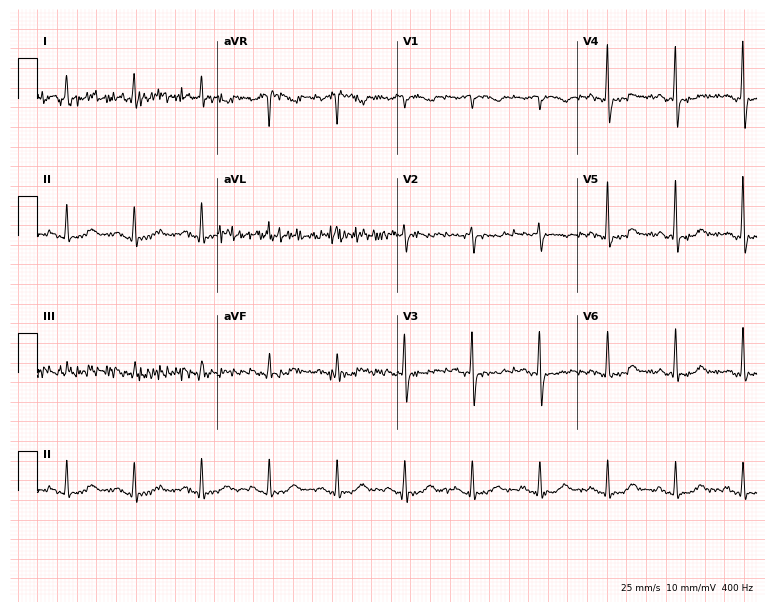
12-lead ECG (7.3-second recording at 400 Hz) from a 66-year-old woman. Screened for six findings — first-degree AV block, right bundle branch block, left bundle branch block, sinus bradycardia, atrial fibrillation, sinus tachycardia — none is recorded.